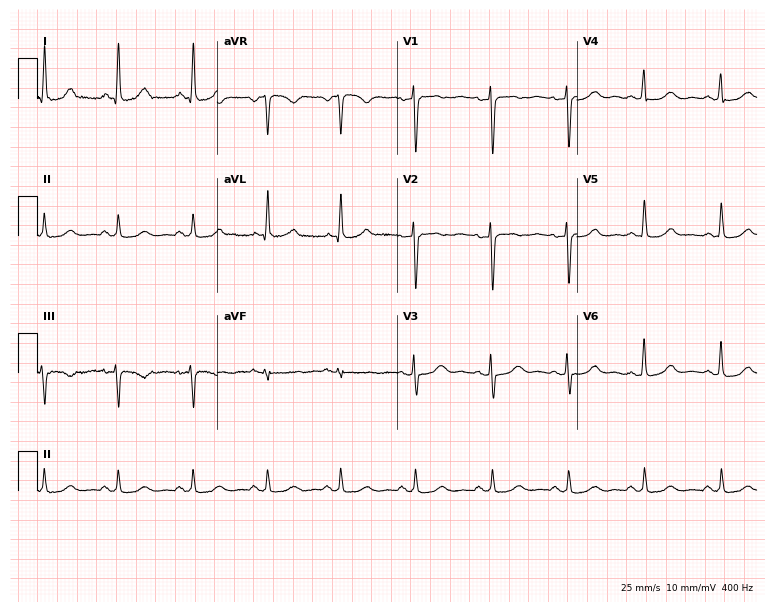
Resting 12-lead electrocardiogram (7.3-second recording at 400 Hz). Patient: a 48-year-old female. Read as a normal ECG.